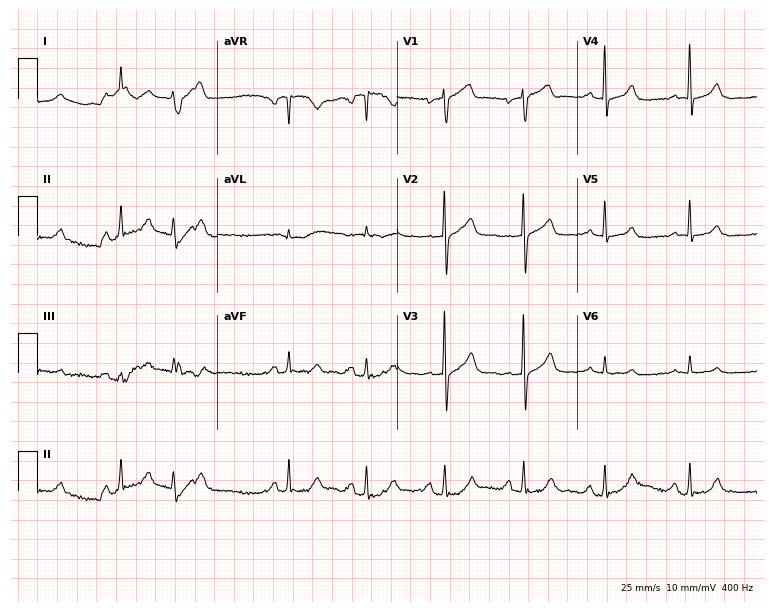
12-lead ECG (7.3-second recording at 400 Hz) from a 62-year-old male patient. Screened for six findings — first-degree AV block, right bundle branch block, left bundle branch block, sinus bradycardia, atrial fibrillation, sinus tachycardia — none is recorded.